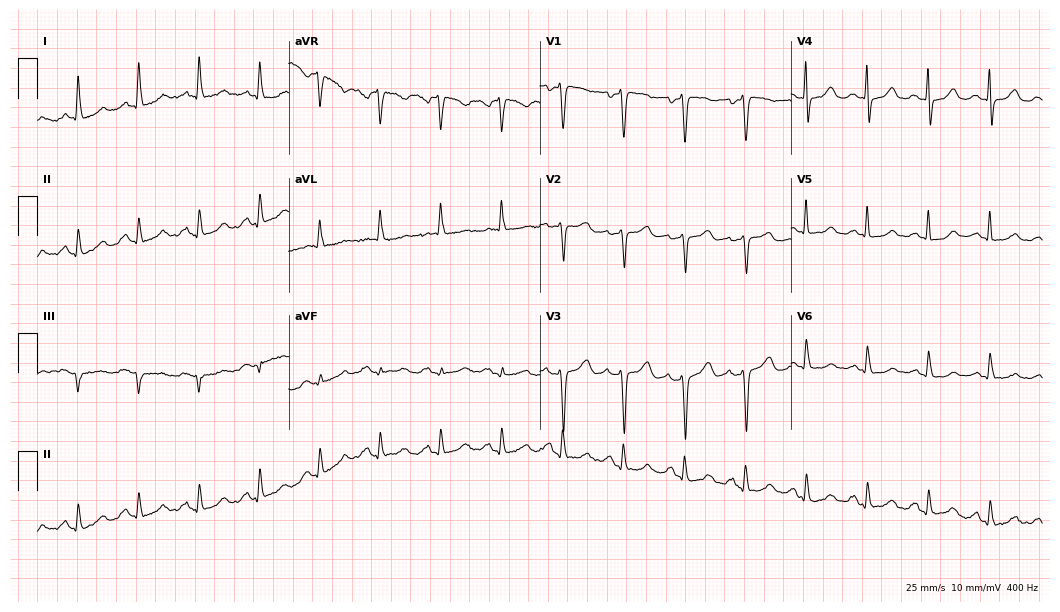
Standard 12-lead ECG recorded from a female patient, 70 years old (10.2-second recording at 400 Hz). Read as a normal ECG.